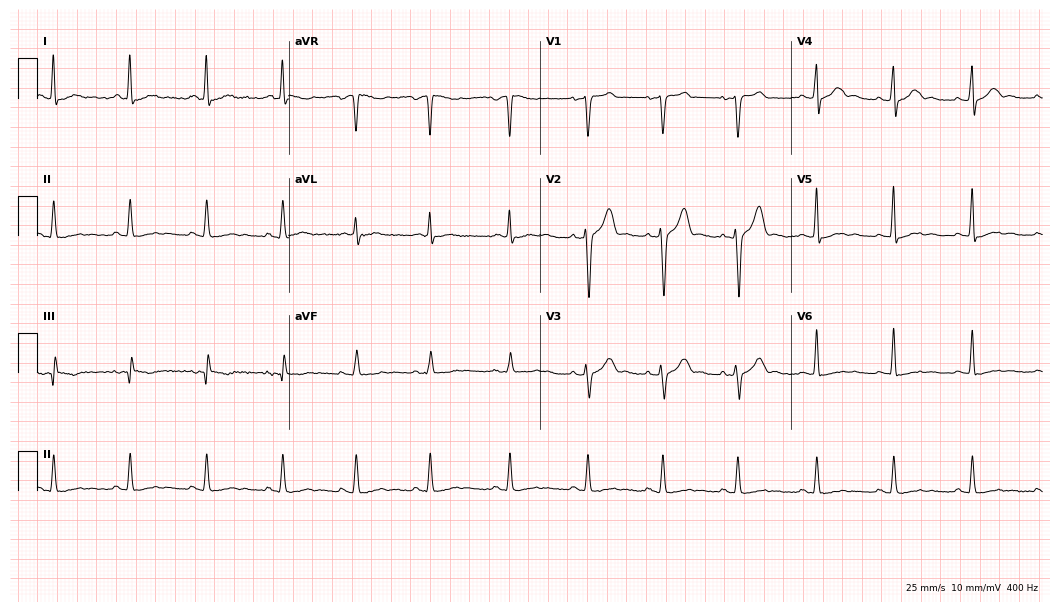
Standard 12-lead ECG recorded from a 37-year-old male. None of these six findings is recorded: first-degree AV block, right bundle branch block, left bundle branch block, sinus bradycardia, atrial fibrillation, sinus tachycardia. Findings outside these six are not listed.